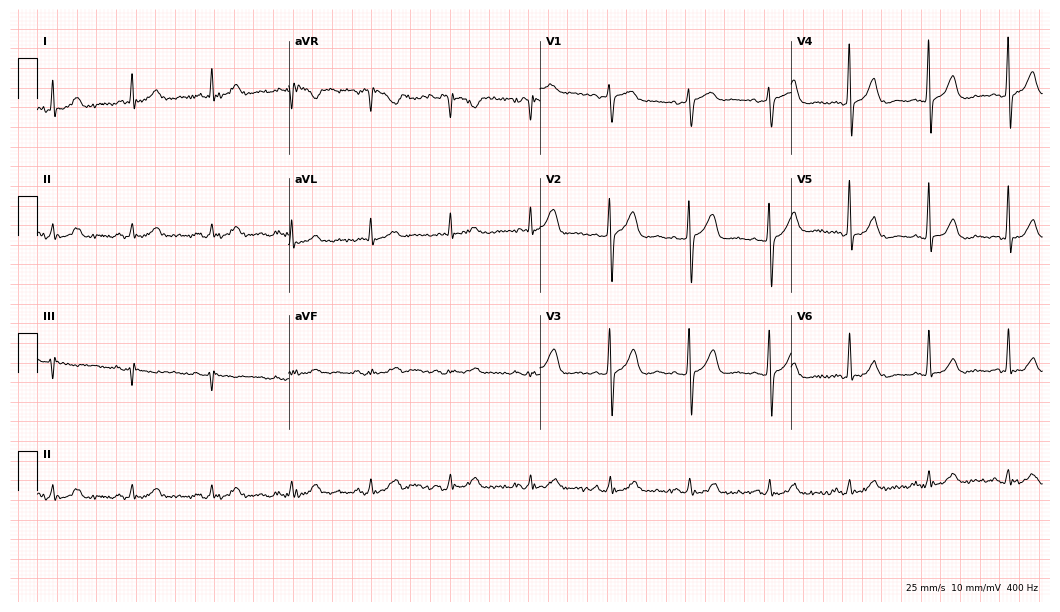
ECG — an 85-year-old male patient. Screened for six findings — first-degree AV block, right bundle branch block, left bundle branch block, sinus bradycardia, atrial fibrillation, sinus tachycardia — none is recorded. Other findings, if any, are not listed.